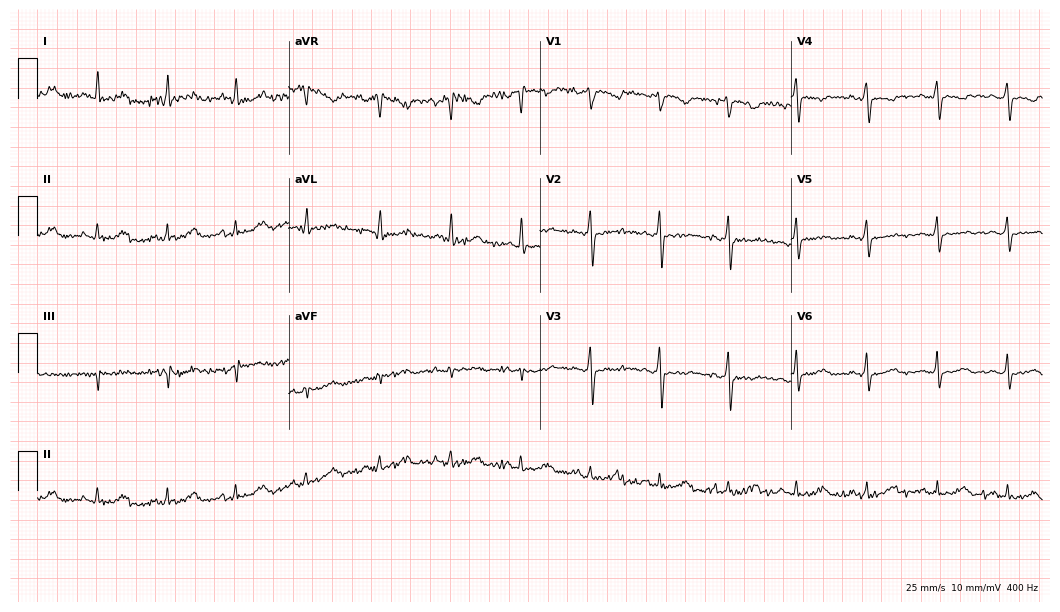
12-lead ECG from a 42-year-old male patient. No first-degree AV block, right bundle branch block, left bundle branch block, sinus bradycardia, atrial fibrillation or sinus tachycardia recorded for this tracing.